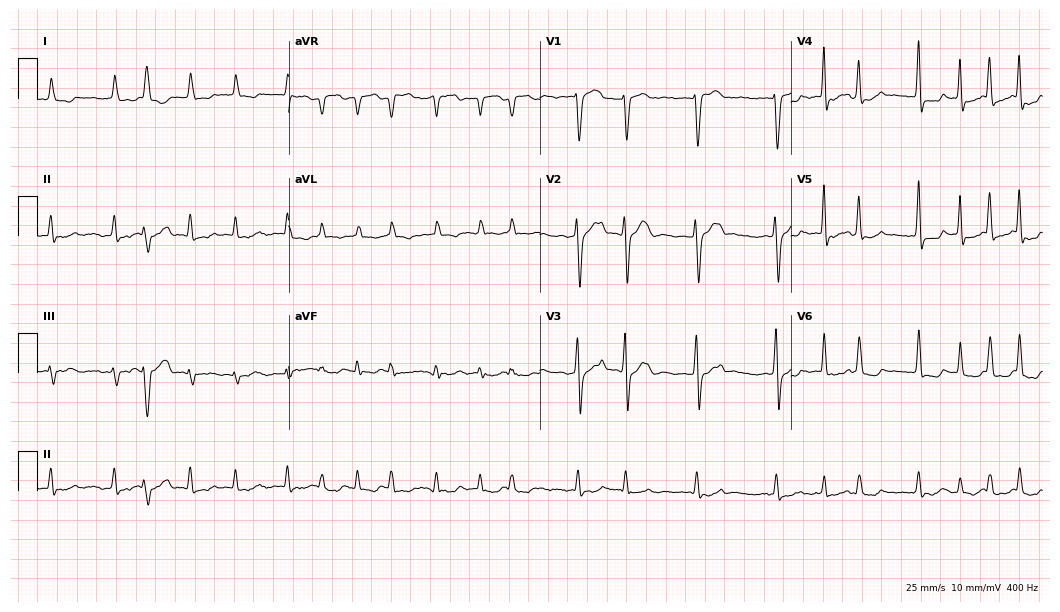
Electrocardiogram (10.2-second recording at 400 Hz), an 82-year-old man. Interpretation includes atrial fibrillation (AF).